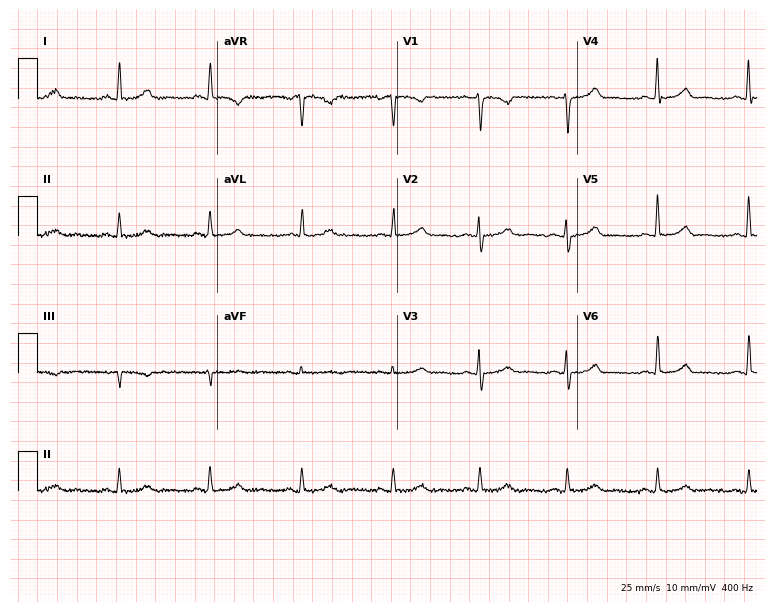
ECG — a 47-year-old woman. Labelled as a normal ECG.